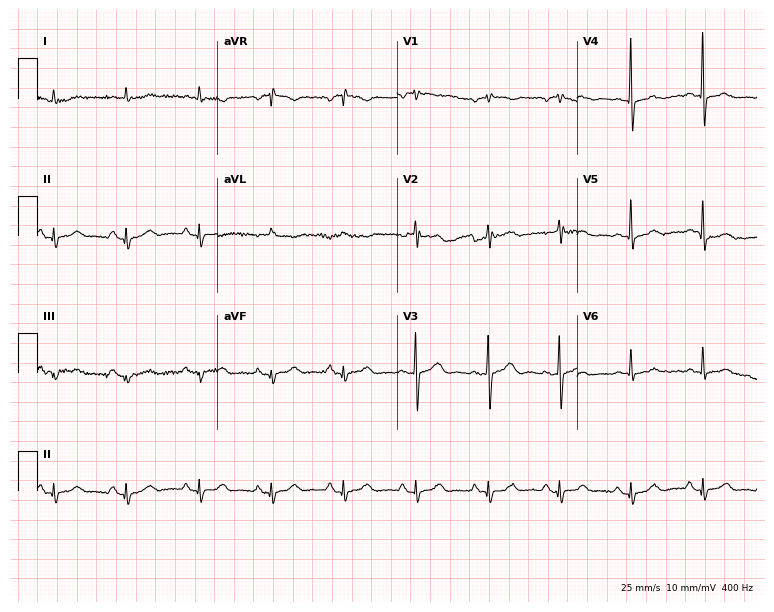
Electrocardiogram, a male patient, 79 years old. Of the six screened findings (first-degree AV block, right bundle branch block (RBBB), left bundle branch block (LBBB), sinus bradycardia, atrial fibrillation (AF), sinus tachycardia), none is recorded.